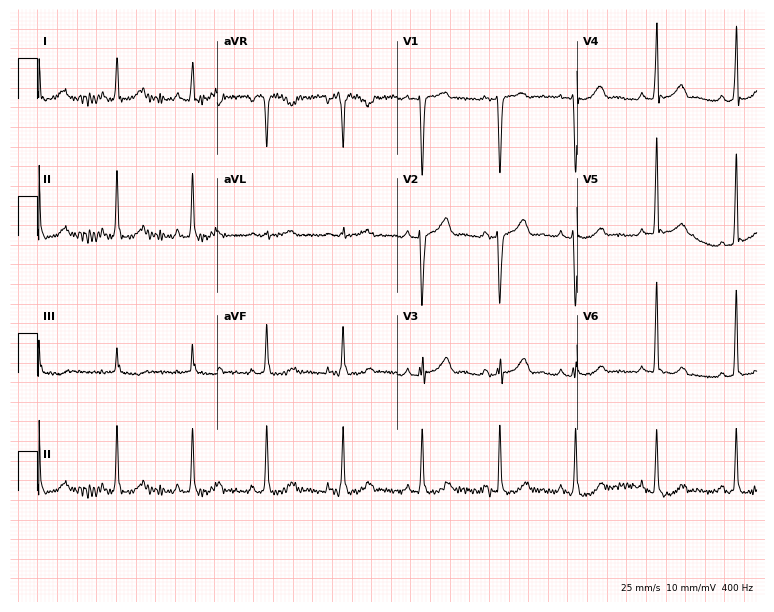
12-lead ECG (7.3-second recording at 400 Hz) from a female, 40 years old. Screened for six findings — first-degree AV block, right bundle branch block, left bundle branch block, sinus bradycardia, atrial fibrillation, sinus tachycardia — none is recorded.